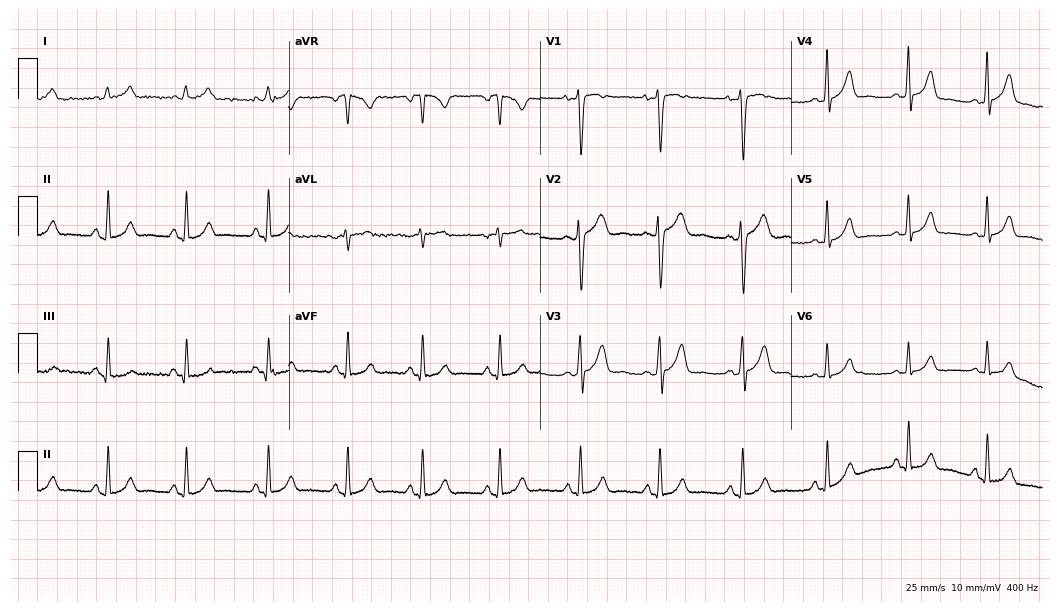
12-lead ECG from a woman, 26 years old. Screened for six findings — first-degree AV block, right bundle branch block, left bundle branch block, sinus bradycardia, atrial fibrillation, sinus tachycardia — none is recorded. Findings outside these six are not listed.